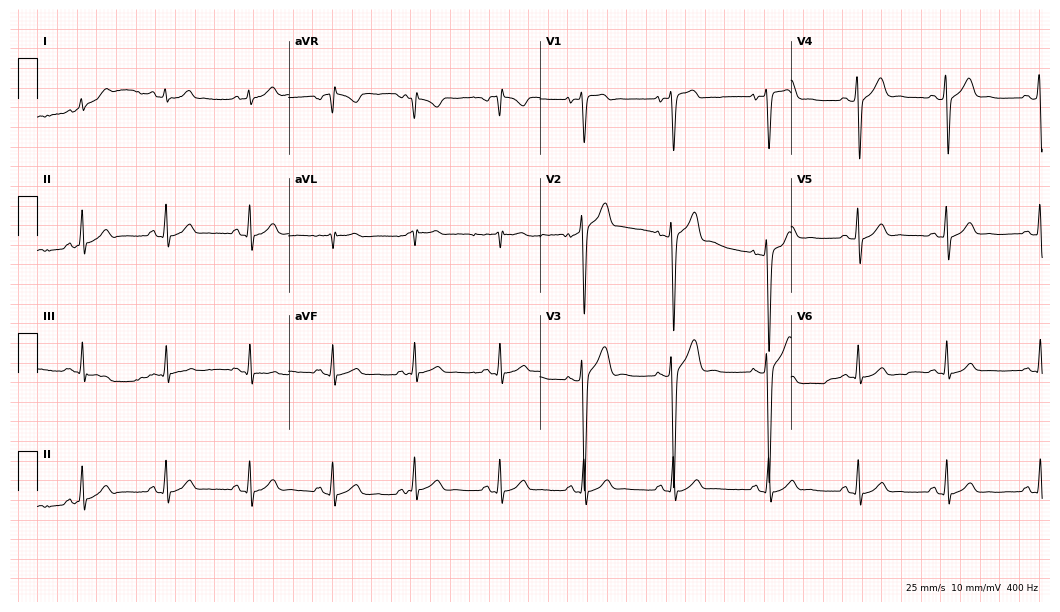
12-lead ECG from a male patient, 25 years old. Screened for six findings — first-degree AV block, right bundle branch block, left bundle branch block, sinus bradycardia, atrial fibrillation, sinus tachycardia — none is recorded.